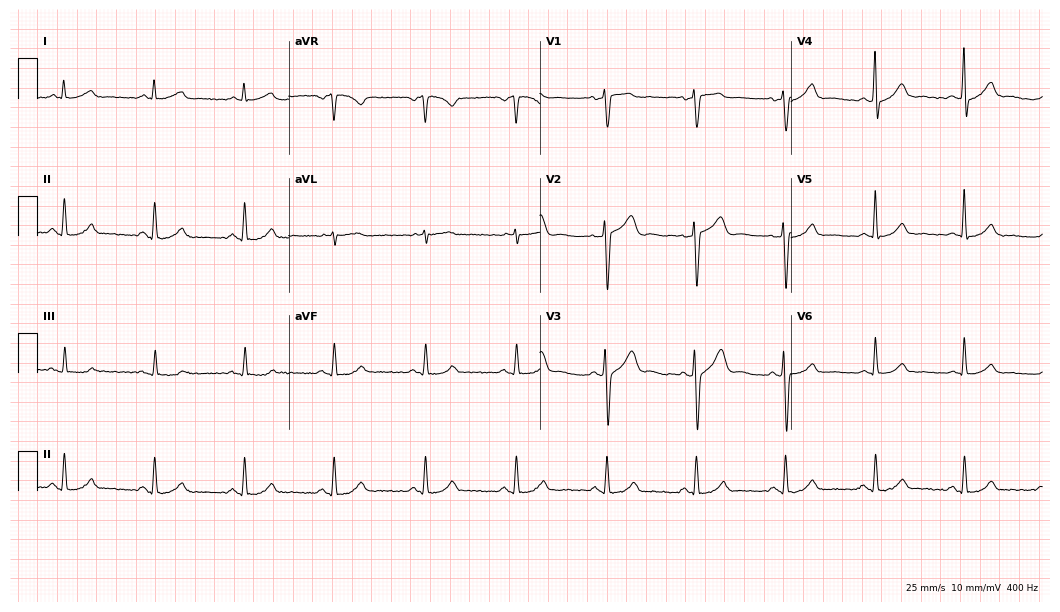
12-lead ECG from a 57-year-old male (10.2-second recording at 400 Hz). Recorded interpretation: within normal limits.